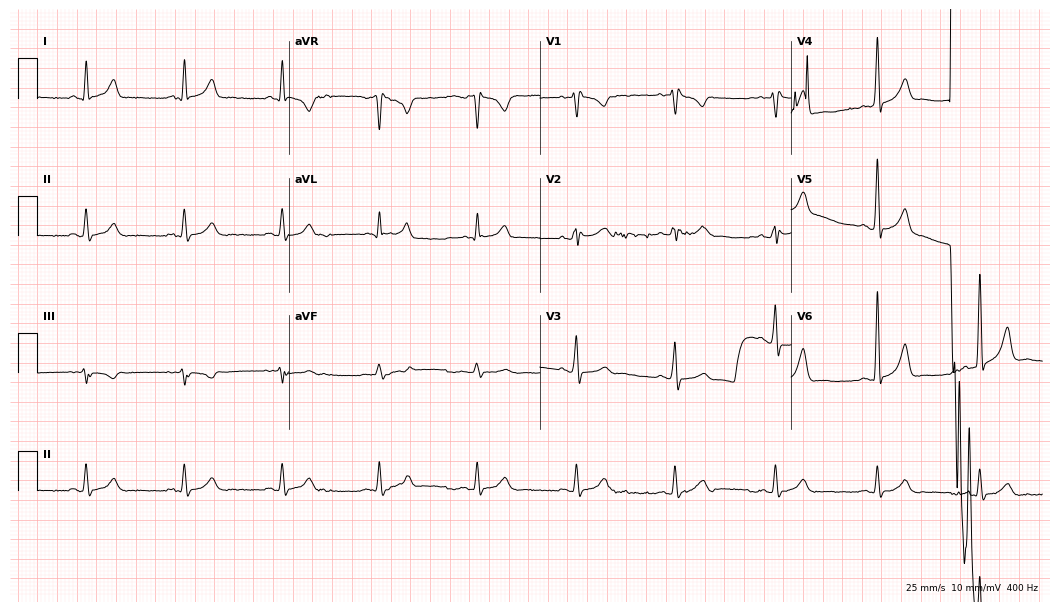
Standard 12-lead ECG recorded from a 50-year-old male (10.2-second recording at 400 Hz). None of these six findings is recorded: first-degree AV block, right bundle branch block (RBBB), left bundle branch block (LBBB), sinus bradycardia, atrial fibrillation (AF), sinus tachycardia. Only these six findings were labelled.